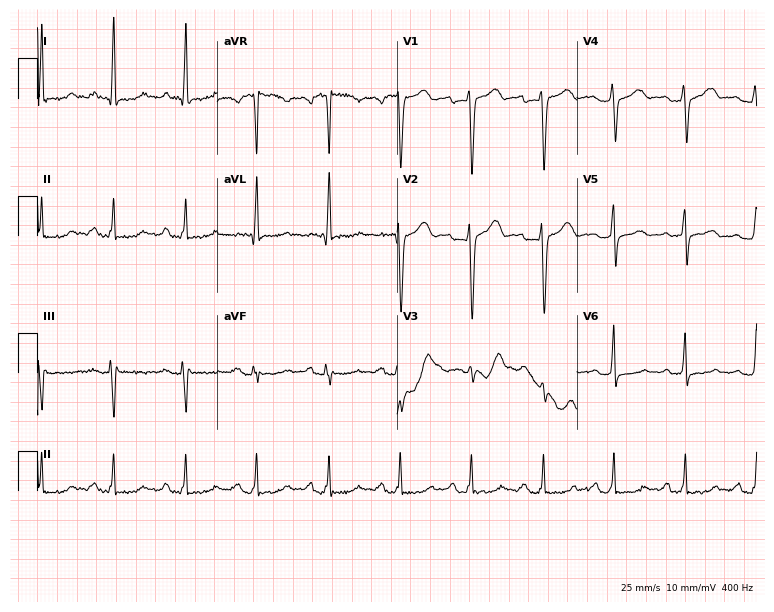
Electrocardiogram, a 40-year-old woman. Interpretation includes first-degree AV block.